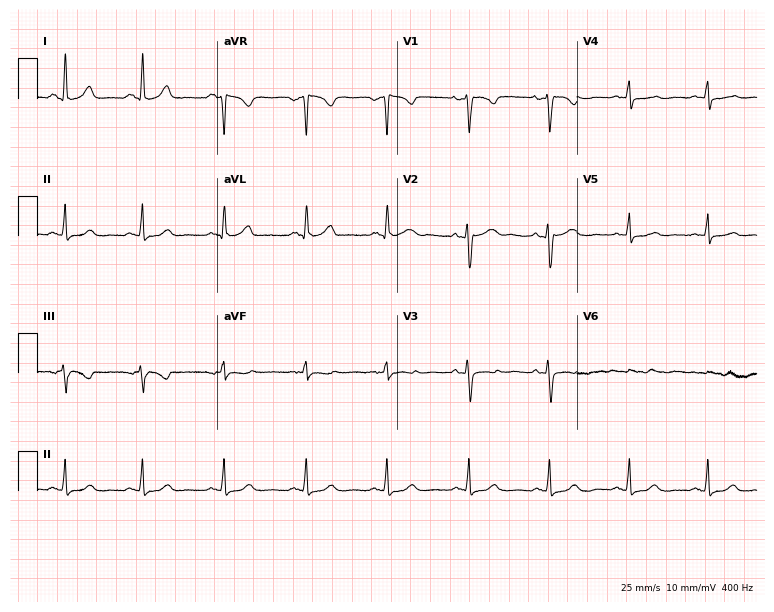
12-lead ECG from a female, 36 years old (7.3-second recording at 400 Hz). Recorded interpretation: within normal limits.